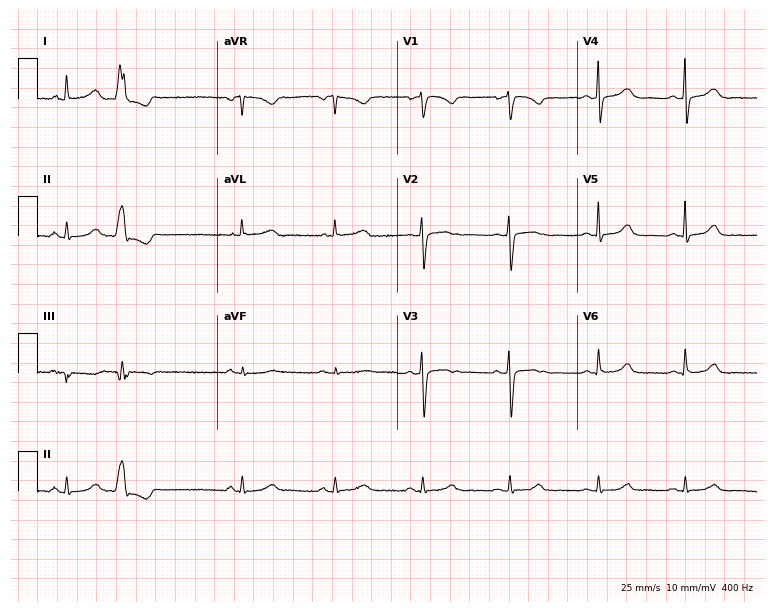
Standard 12-lead ECG recorded from a 64-year-old female (7.3-second recording at 400 Hz). None of these six findings is recorded: first-degree AV block, right bundle branch block, left bundle branch block, sinus bradycardia, atrial fibrillation, sinus tachycardia. Other findings, if any, are not listed.